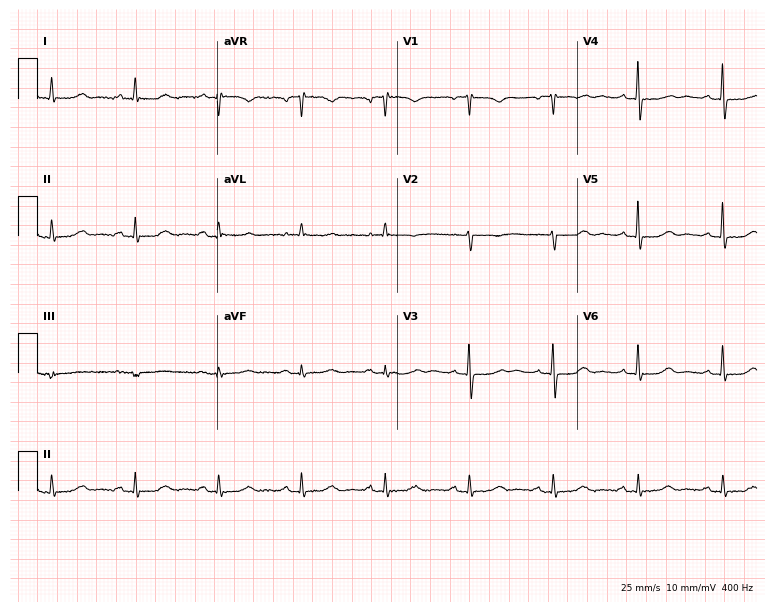
12-lead ECG from a 71-year-old woman. No first-degree AV block, right bundle branch block, left bundle branch block, sinus bradycardia, atrial fibrillation or sinus tachycardia recorded for this tracing.